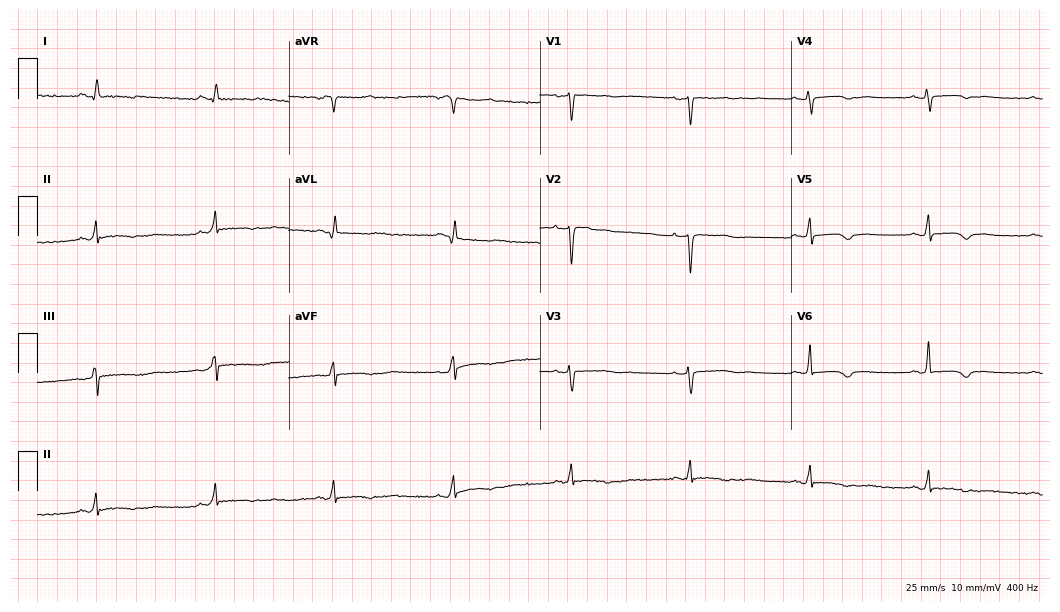
Electrocardiogram, a female patient, 54 years old. Of the six screened findings (first-degree AV block, right bundle branch block, left bundle branch block, sinus bradycardia, atrial fibrillation, sinus tachycardia), none is recorded. Only these six findings were labelled.